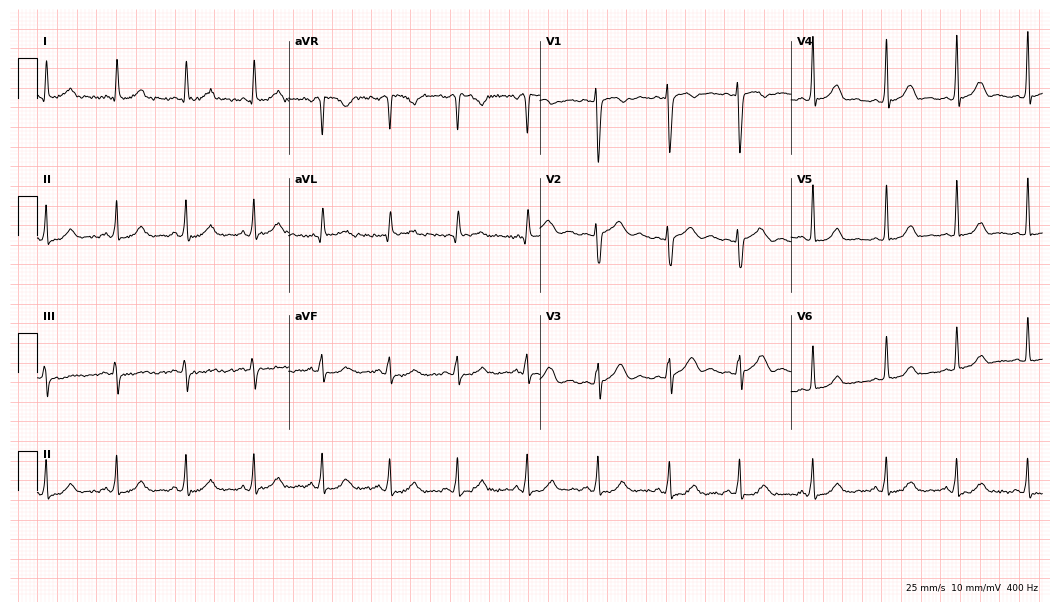
12-lead ECG from a female, 41 years old (10.2-second recording at 400 Hz). Recorded interpretation: within normal limits.